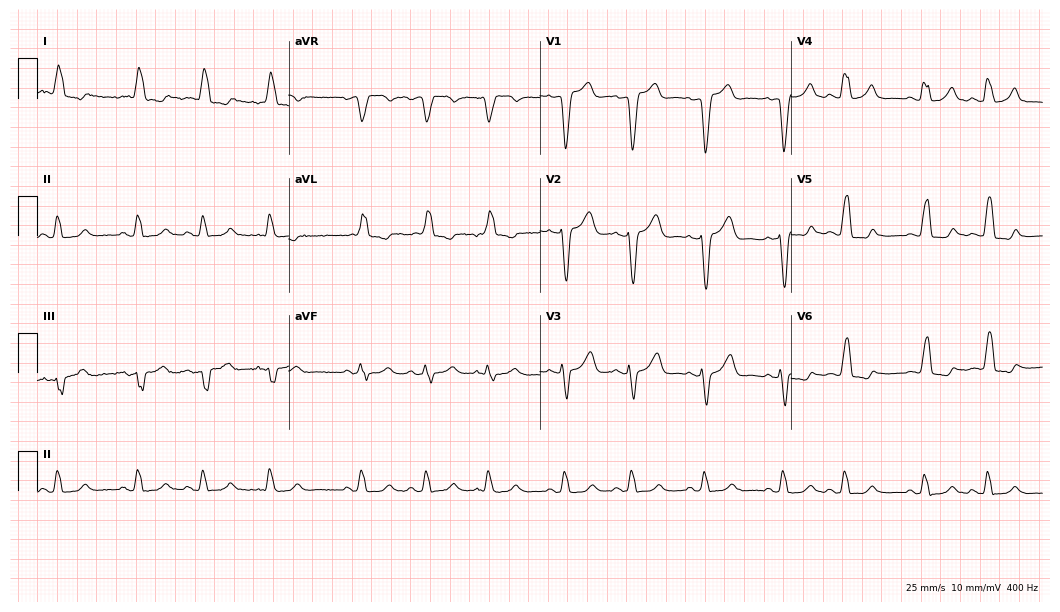
Standard 12-lead ECG recorded from an 81-year-old female patient (10.2-second recording at 400 Hz). None of these six findings is recorded: first-degree AV block, right bundle branch block, left bundle branch block, sinus bradycardia, atrial fibrillation, sinus tachycardia. Findings outside these six are not listed.